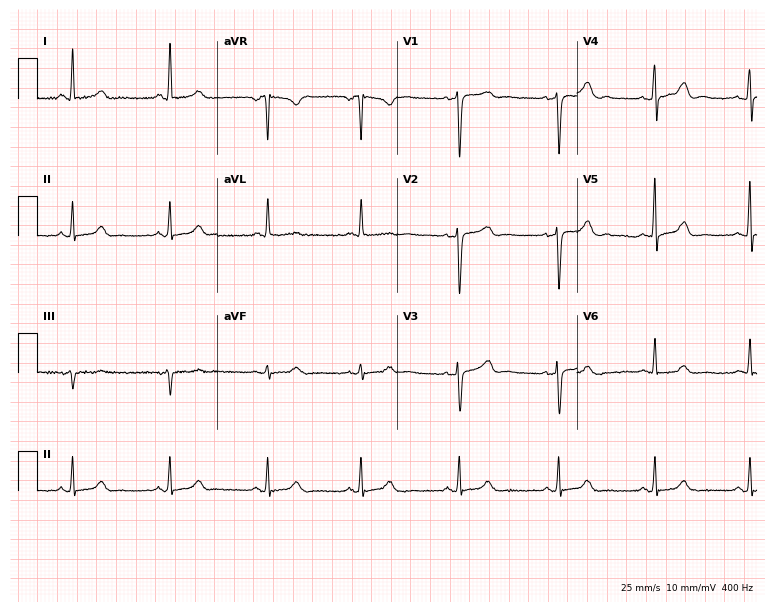
Standard 12-lead ECG recorded from a 49-year-old woman. None of these six findings is recorded: first-degree AV block, right bundle branch block, left bundle branch block, sinus bradycardia, atrial fibrillation, sinus tachycardia. Other findings, if any, are not listed.